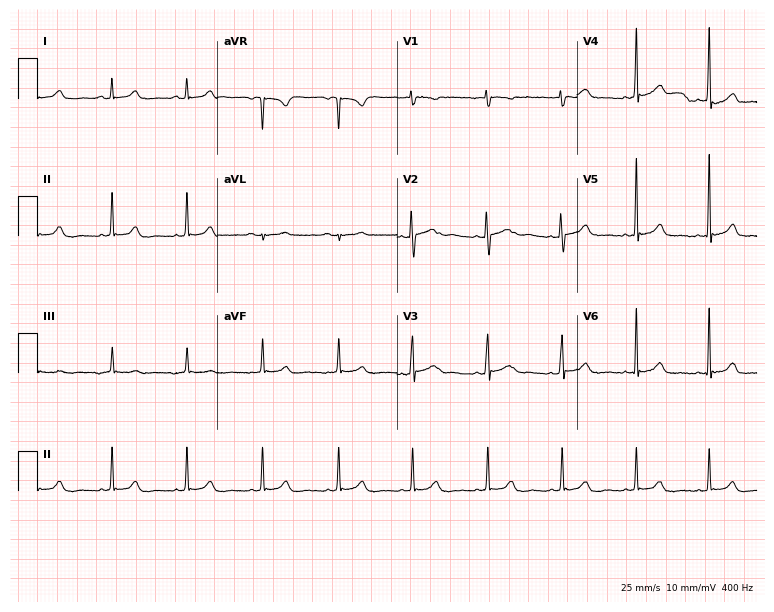
Resting 12-lead electrocardiogram (7.3-second recording at 400 Hz). Patient: a 19-year-old woman. Read as a normal ECG.